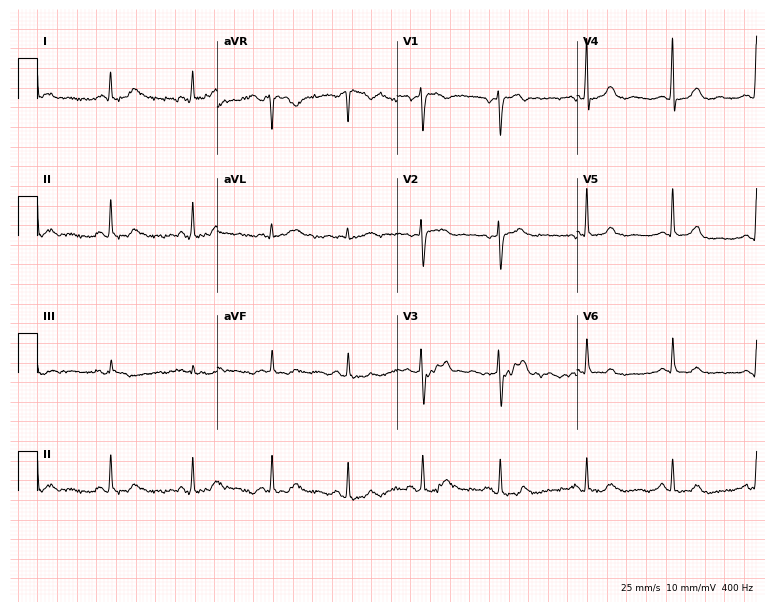
Resting 12-lead electrocardiogram. Patient: a 59-year-old female. Read as a normal ECG.